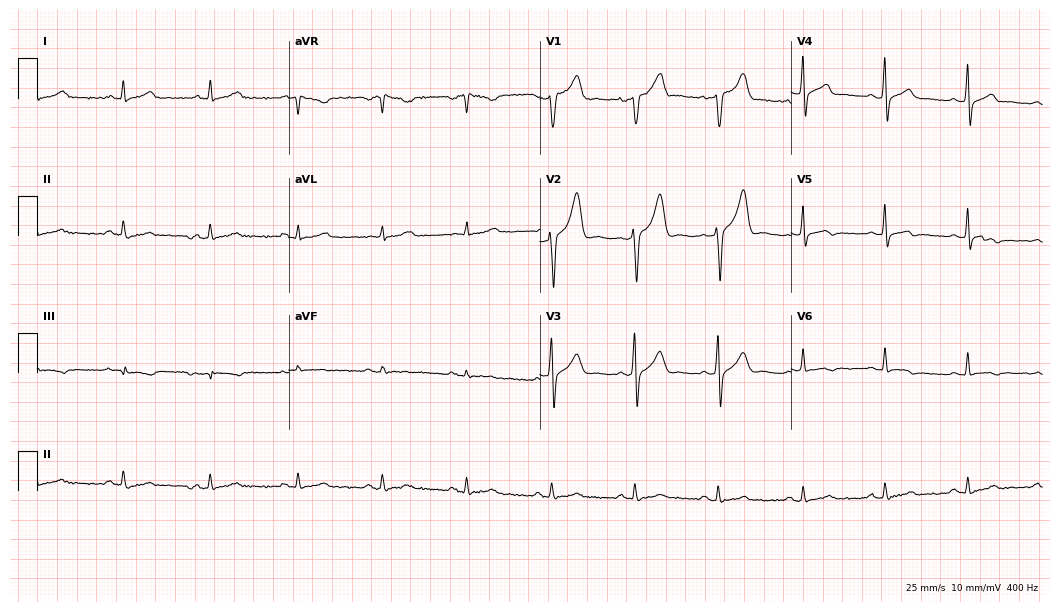
Electrocardiogram, a man, 49 years old. Of the six screened findings (first-degree AV block, right bundle branch block (RBBB), left bundle branch block (LBBB), sinus bradycardia, atrial fibrillation (AF), sinus tachycardia), none is recorded. Findings outside these six are not listed.